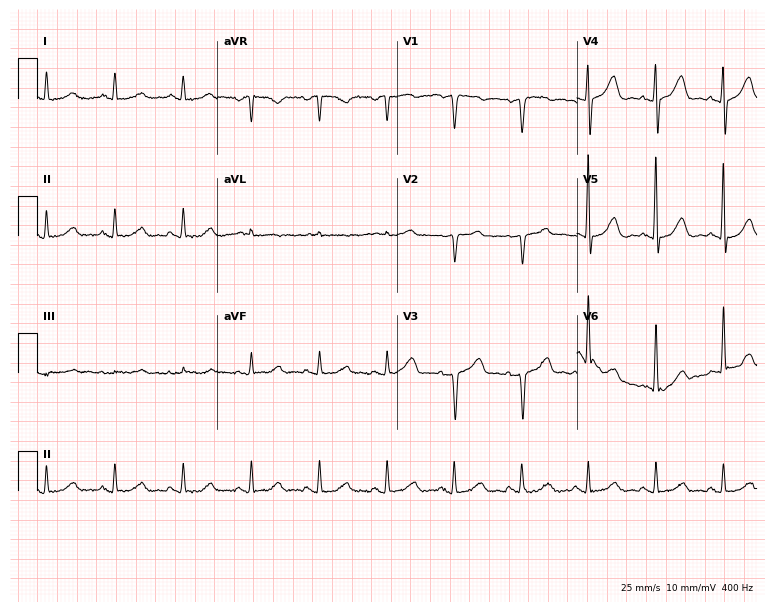
ECG — a male, 57 years old. Screened for six findings — first-degree AV block, right bundle branch block, left bundle branch block, sinus bradycardia, atrial fibrillation, sinus tachycardia — none is recorded. Findings outside these six are not listed.